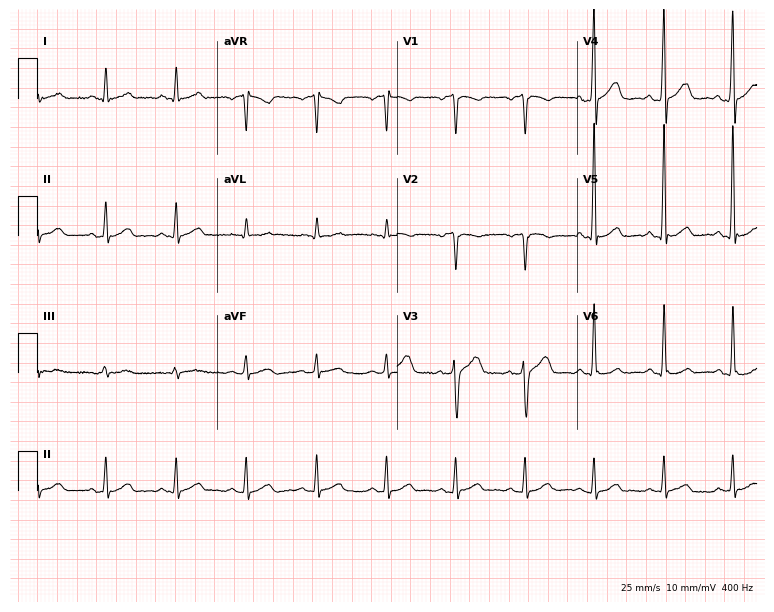
12-lead ECG from a 48-year-old man. No first-degree AV block, right bundle branch block (RBBB), left bundle branch block (LBBB), sinus bradycardia, atrial fibrillation (AF) or sinus tachycardia recorded for this tracing. Only these six findings were labelled.